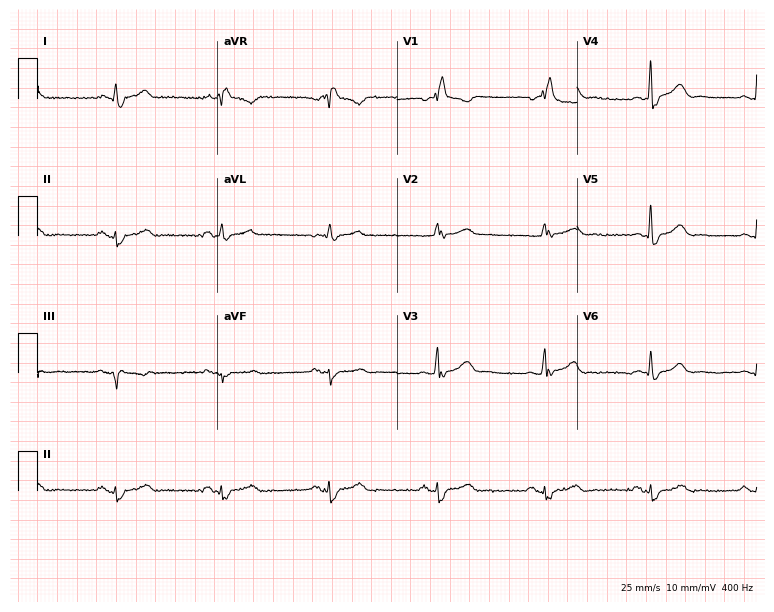
Resting 12-lead electrocardiogram (7.3-second recording at 400 Hz). Patient: a 69-year-old male. The tracing shows right bundle branch block.